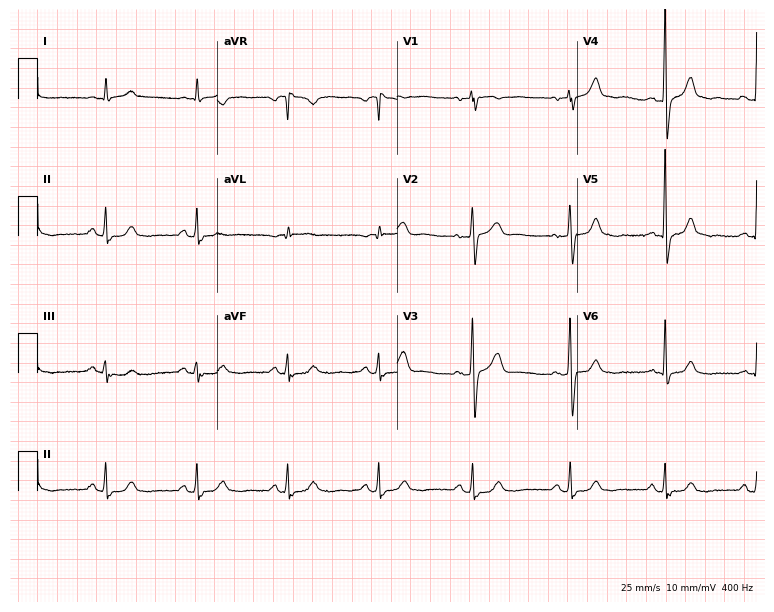
ECG — a 68-year-old male patient. Labelled as a normal ECG.